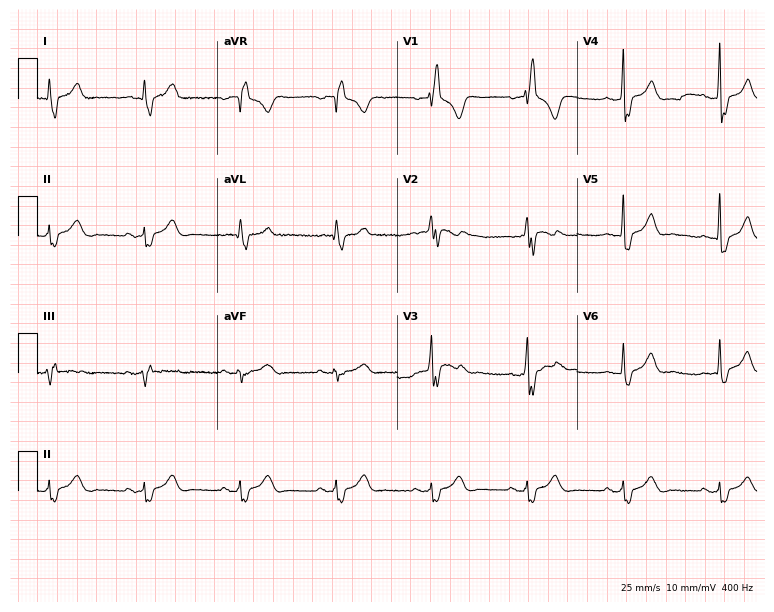
Standard 12-lead ECG recorded from a 62-year-old man (7.3-second recording at 400 Hz). The tracing shows right bundle branch block (RBBB).